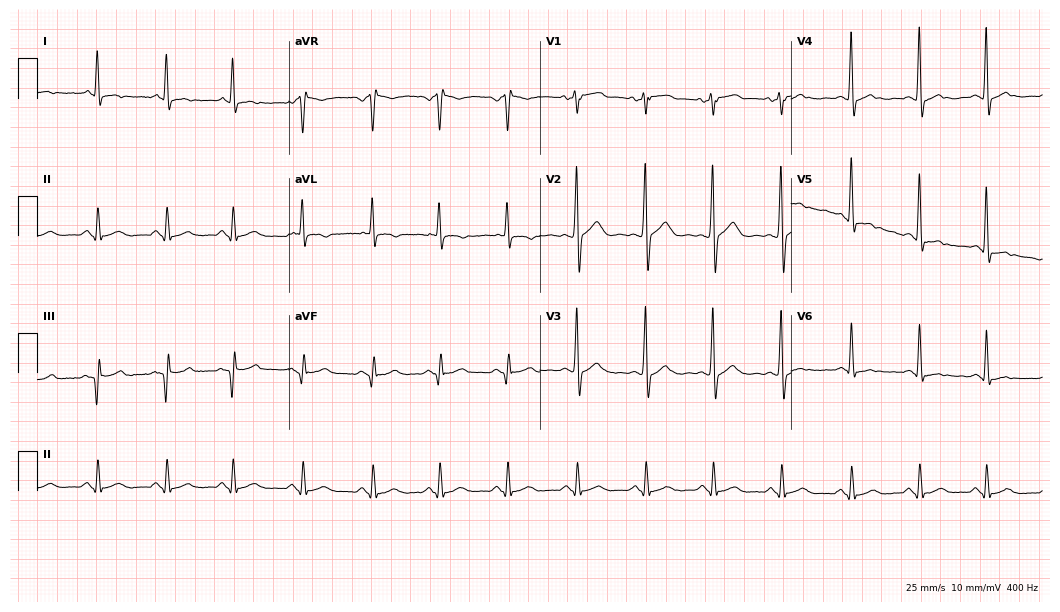
Resting 12-lead electrocardiogram. Patient: a male, 50 years old. None of these six findings is recorded: first-degree AV block, right bundle branch block, left bundle branch block, sinus bradycardia, atrial fibrillation, sinus tachycardia.